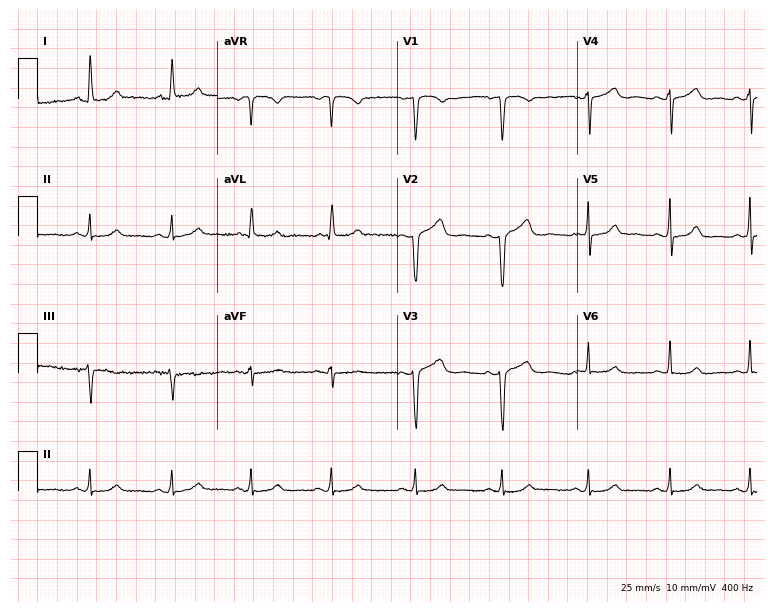
Electrocardiogram, a 51-year-old female patient. Of the six screened findings (first-degree AV block, right bundle branch block (RBBB), left bundle branch block (LBBB), sinus bradycardia, atrial fibrillation (AF), sinus tachycardia), none is recorded.